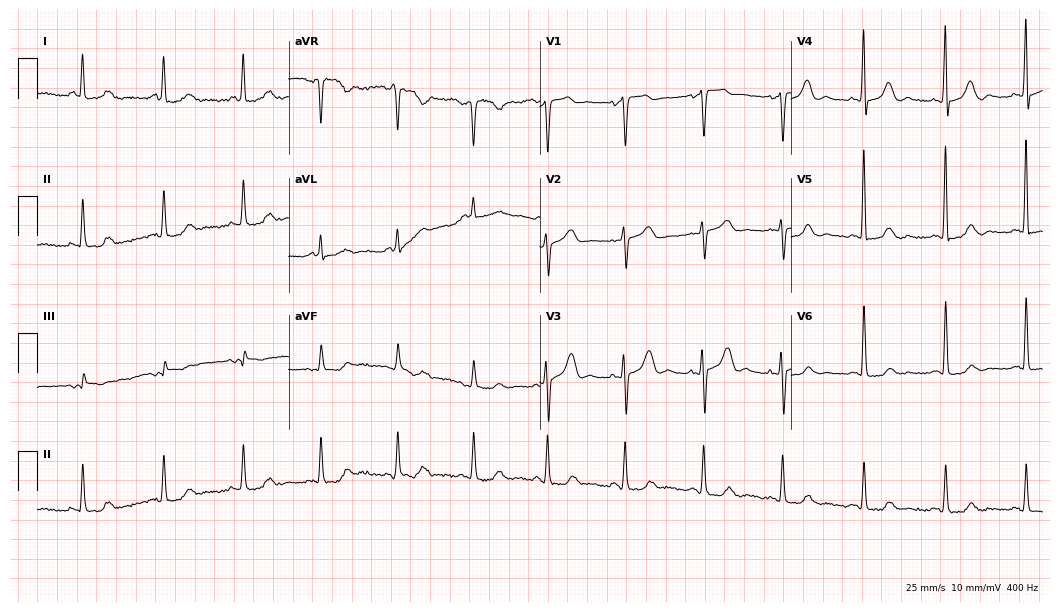
ECG — a woman, 73 years old. Labelled as a normal ECG.